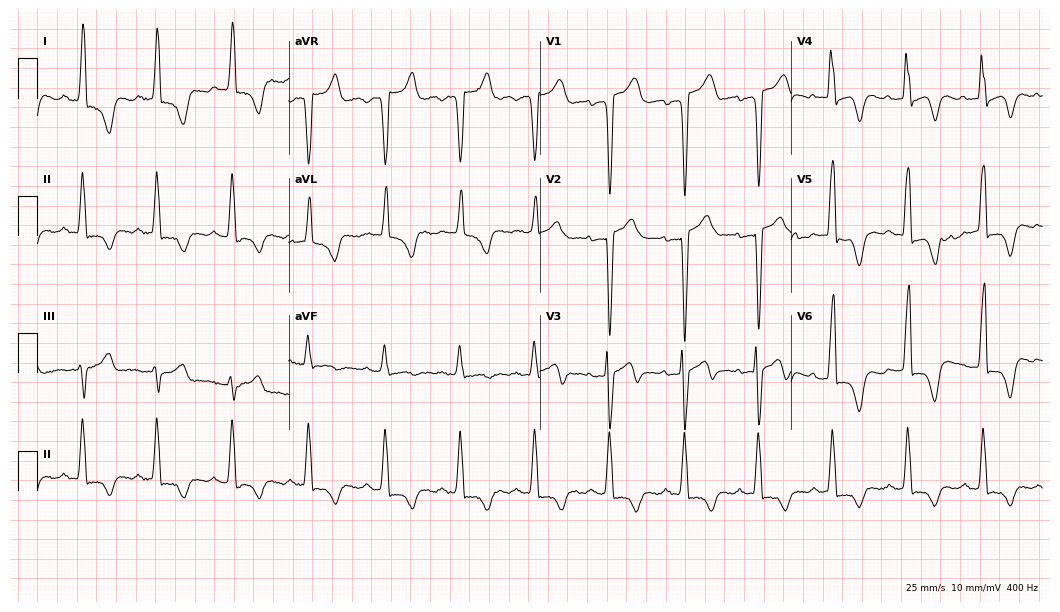
12-lead ECG from a male, 43 years old. No first-degree AV block, right bundle branch block, left bundle branch block, sinus bradycardia, atrial fibrillation or sinus tachycardia recorded for this tracing. Other findings, if any, are not listed.